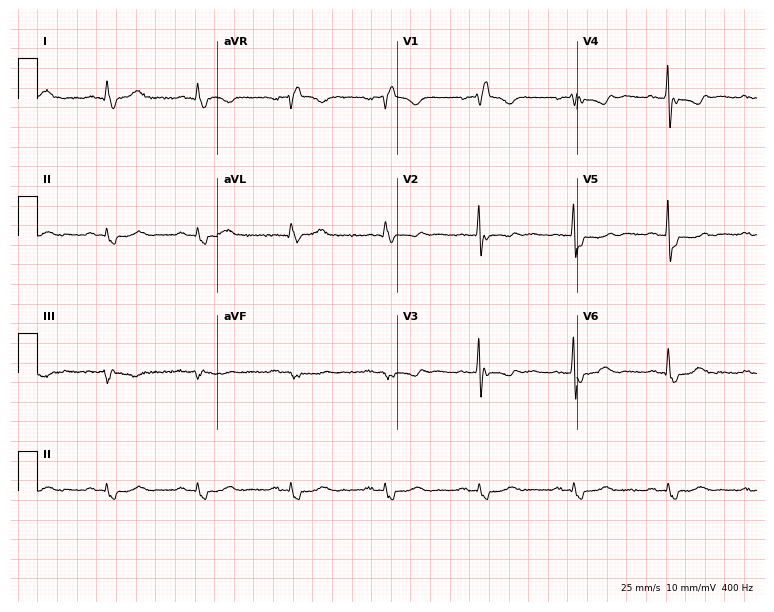
Standard 12-lead ECG recorded from a 63-year-old woman (7.3-second recording at 400 Hz). None of these six findings is recorded: first-degree AV block, right bundle branch block, left bundle branch block, sinus bradycardia, atrial fibrillation, sinus tachycardia. Only these six findings were labelled.